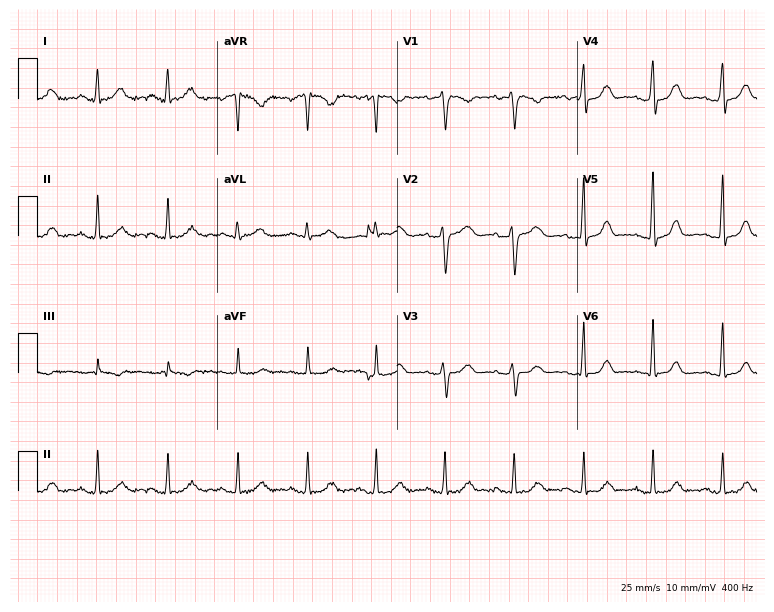
Standard 12-lead ECG recorded from a female patient, 56 years old. Read as a normal ECG.